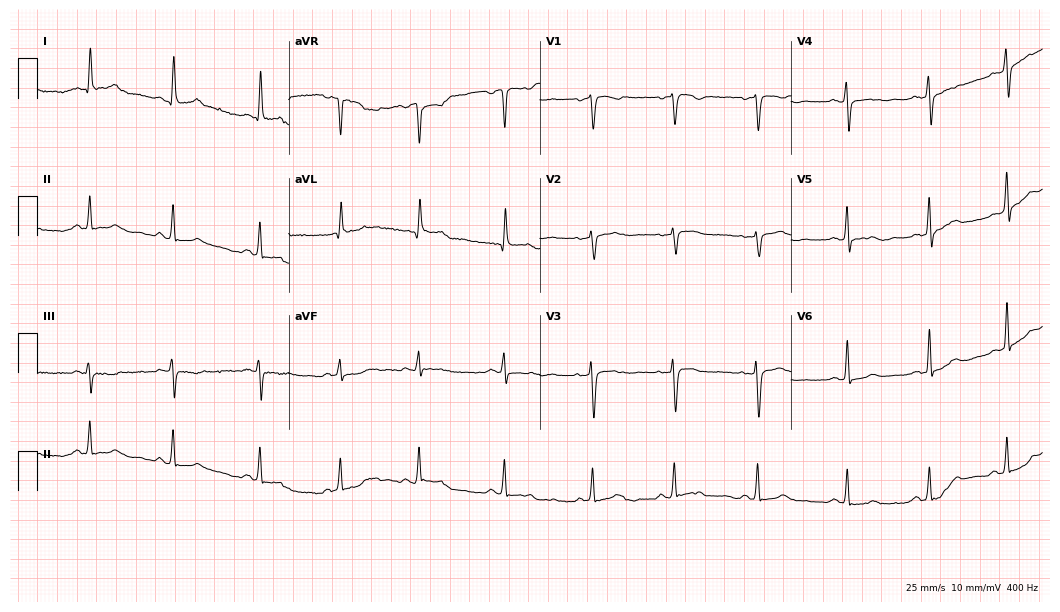
Resting 12-lead electrocardiogram (10.2-second recording at 400 Hz). Patient: a woman, 48 years old. Read as a normal ECG.